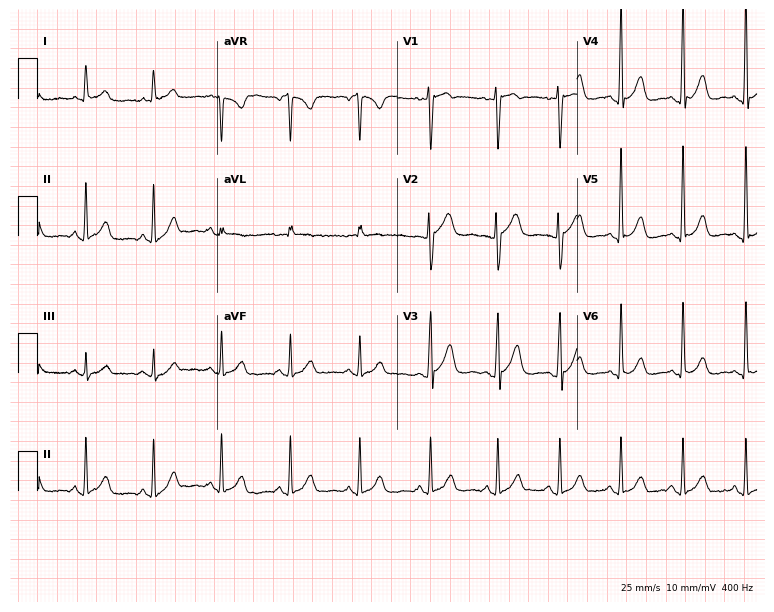
12-lead ECG from a 32-year-old male patient (7.3-second recording at 400 Hz). Recorded interpretation: within normal limits.